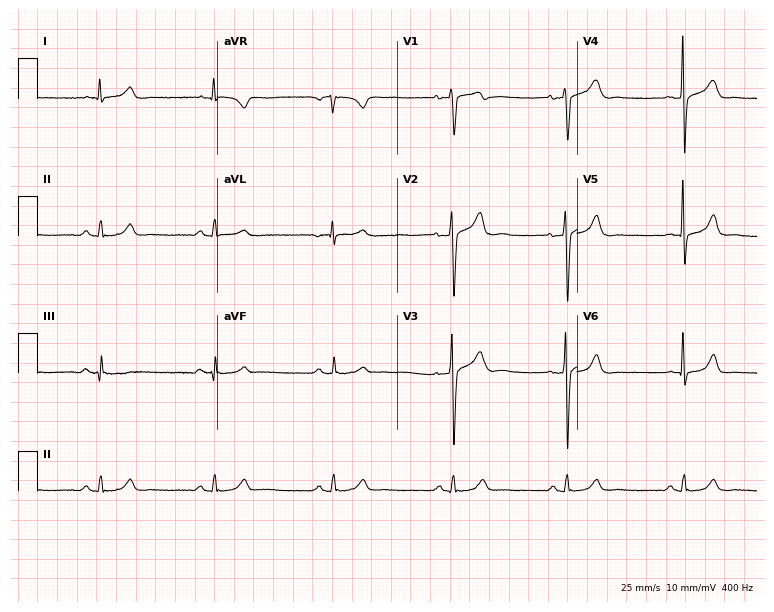
Resting 12-lead electrocardiogram. Patient: a 39-year-old man. None of these six findings is recorded: first-degree AV block, right bundle branch block, left bundle branch block, sinus bradycardia, atrial fibrillation, sinus tachycardia. Other findings, if any, are not listed.